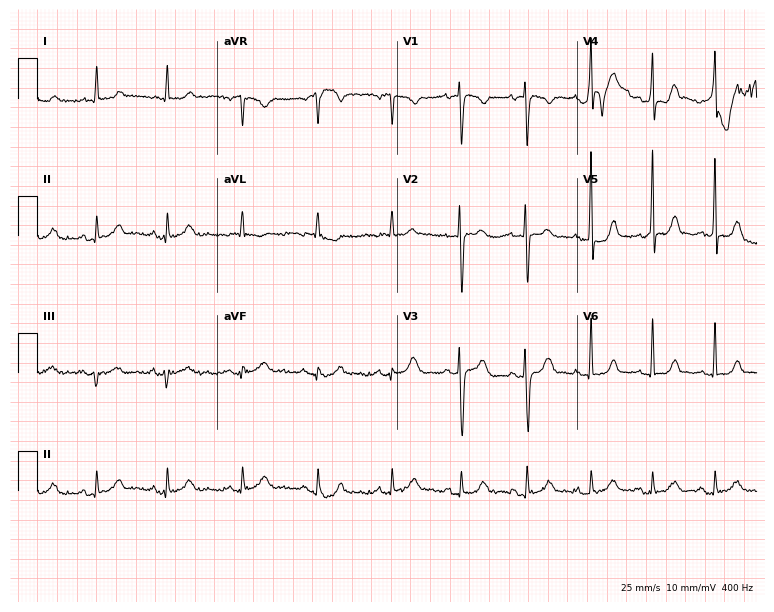
ECG — a 22-year-old male patient. Labelled as a normal ECG.